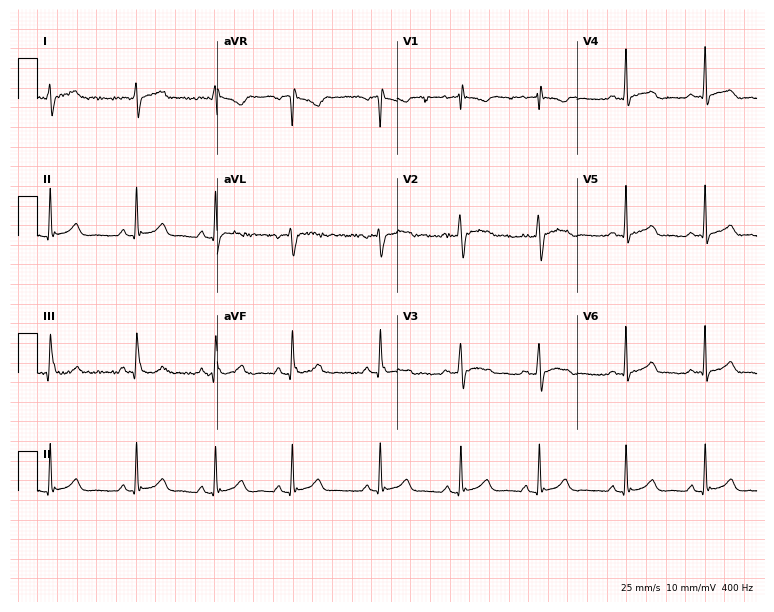
12-lead ECG from an 18-year-old female. Screened for six findings — first-degree AV block, right bundle branch block (RBBB), left bundle branch block (LBBB), sinus bradycardia, atrial fibrillation (AF), sinus tachycardia — none is recorded.